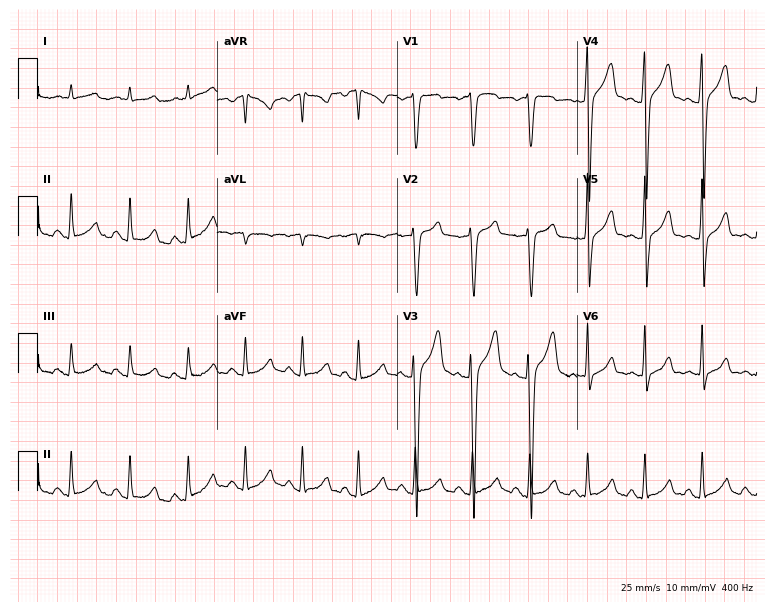
12-lead ECG (7.3-second recording at 400 Hz) from a 42-year-old male patient. Findings include sinus tachycardia (a sinus rate of 100 beats per minute or more).